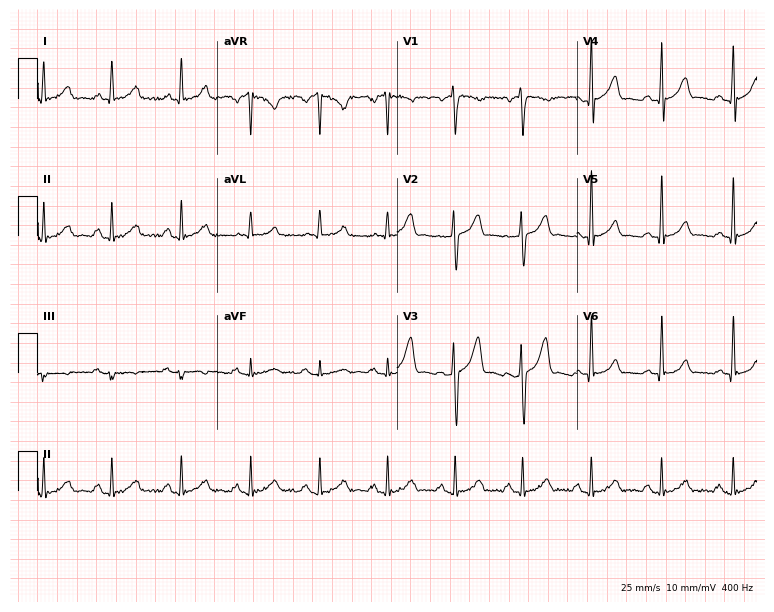
ECG — a 47-year-old man. Screened for six findings — first-degree AV block, right bundle branch block (RBBB), left bundle branch block (LBBB), sinus bradycardia, atrial fibrillation (AF), sinus tachycardia — none is recorded.